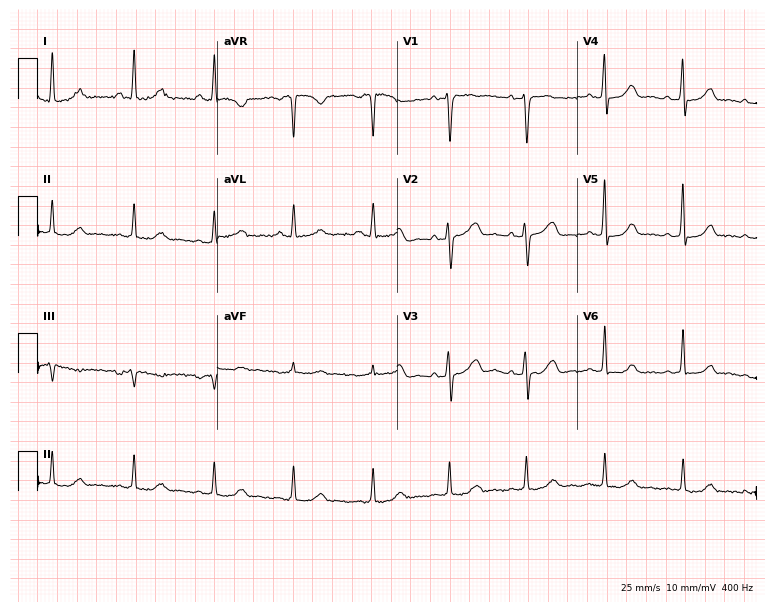
12-lead ECG from a 45-year-old female. Screened for six findings — first-degree AV block, right bundle branch block, left bundle branch block, sinus bradycardia, atrial fibrillation, sinus tachycardia — none is recorded. Only these six findings were labelled.